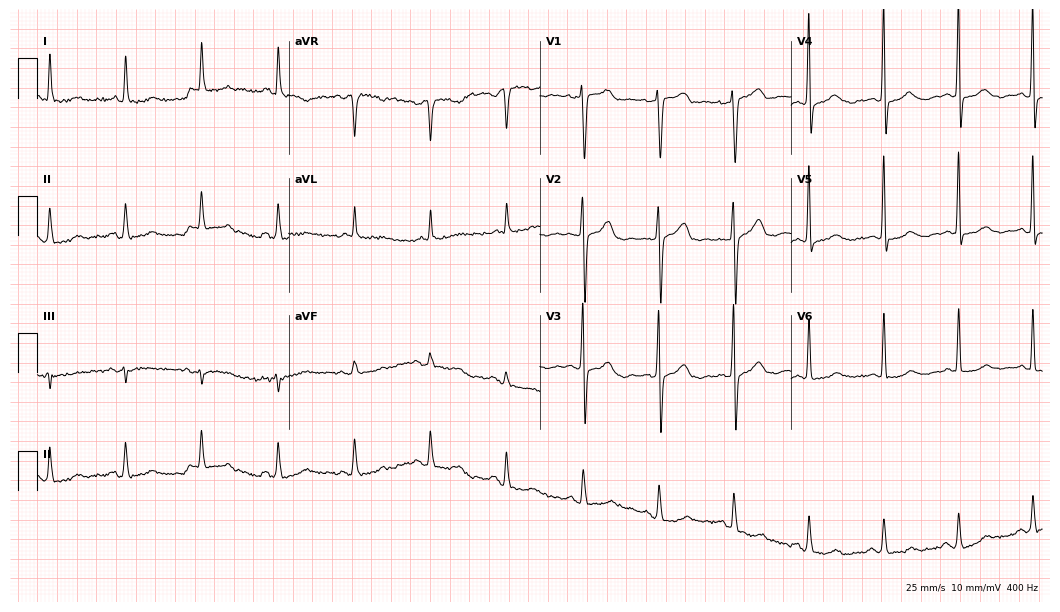
Resting 12-lead electrocardiogram (10.2-second recording at 400 Hz). Patient: a female, 79 years old. None of these six findings is recorded: first-degree AV block, right bundle branch block, left bundle branch block, sinus bradycardia, atrial fibrillation, sinus tachycardia. Findings outside these six are not listed.